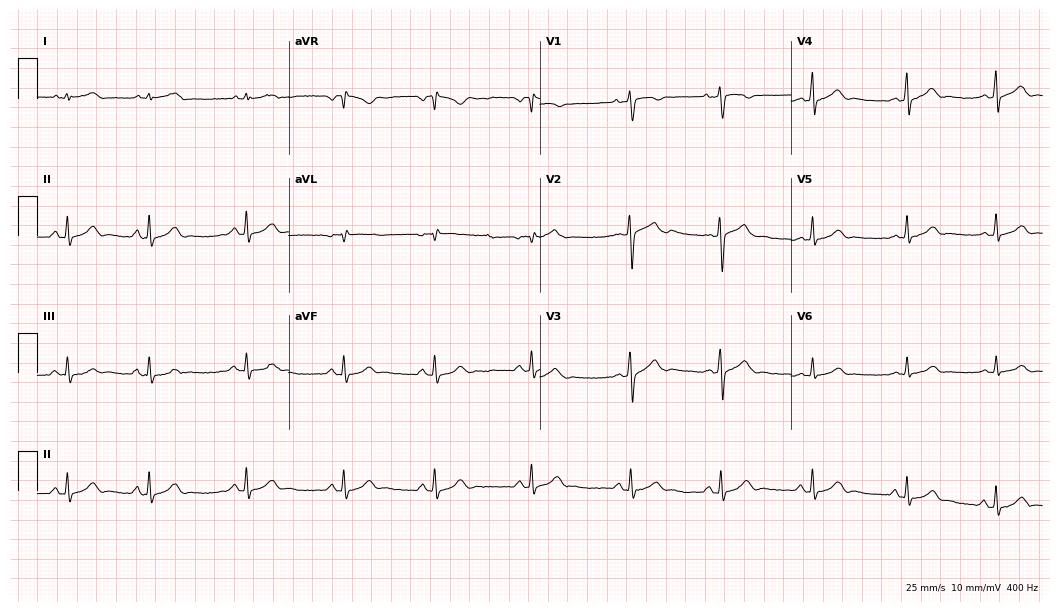
Electrocardiogram, a 34-year-old man. Overall reading on record: normal ECG.